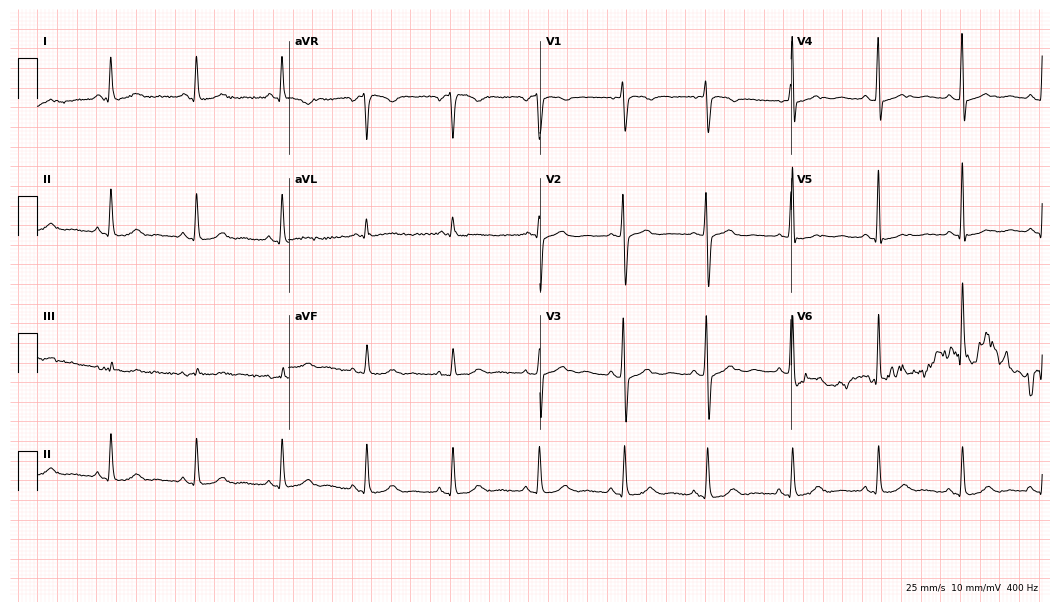
Electrocardiogram, a female, 47 years old. Of the six screened findings (first-degree AV block, right bundle branch block, left bundle branch block, sinus bradycardia, atrial fibrillation, sinus tachycardia), none is recorded.